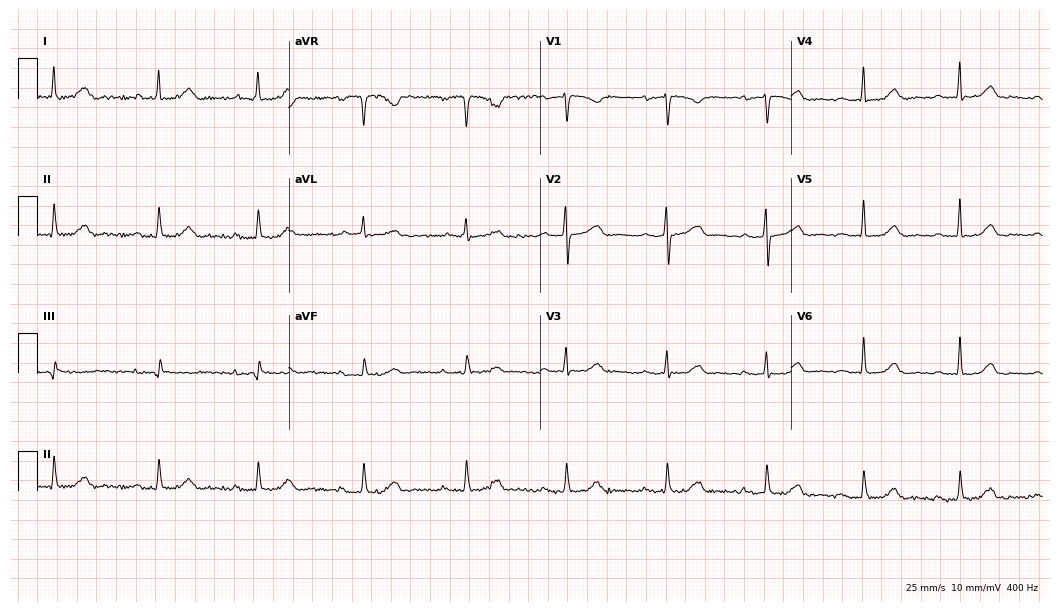
Standard 12-lead ECG recorded from a woman, 53 years old (10.2-second recording at 400 Hz). Read as a normal ECG.